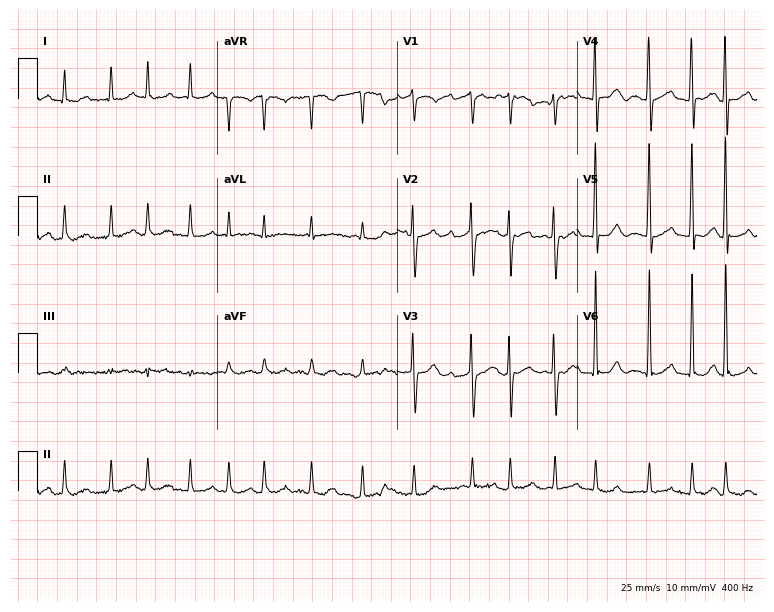
12-lead ECG from a female, 83 years old. Shows atrial fibrillation.